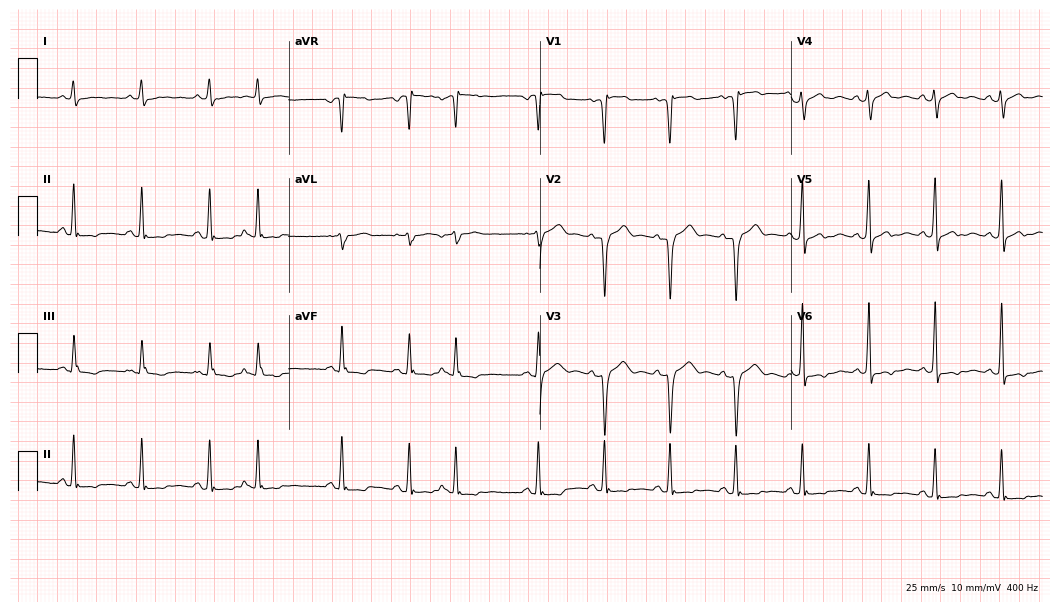
Resting 12-lead electrocardiogram (10.2-second recording at 400 Hz). Patient: a male, 54 years old. None of these six findings is recorded: first-degree AV block, right bundle branch block (RBBB), left bundle branch block (LBBB), sinus bradycardia, atrial fibrillation (AF), sinus tachycardia.